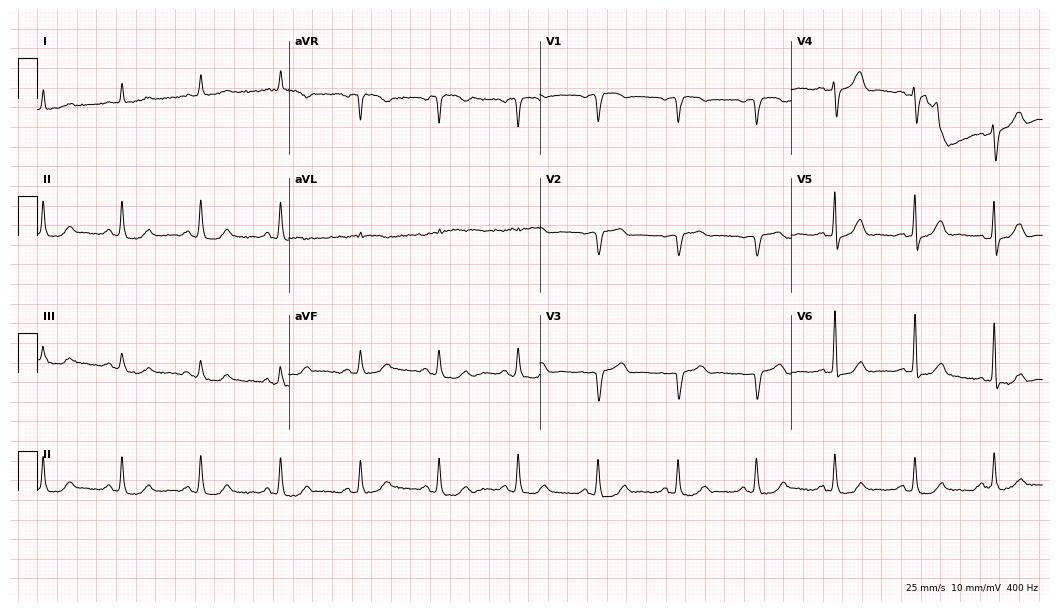
ECG (10.2-second recording at 400 Hz) — a male, 80 years old. Labelled as a normal ECG.